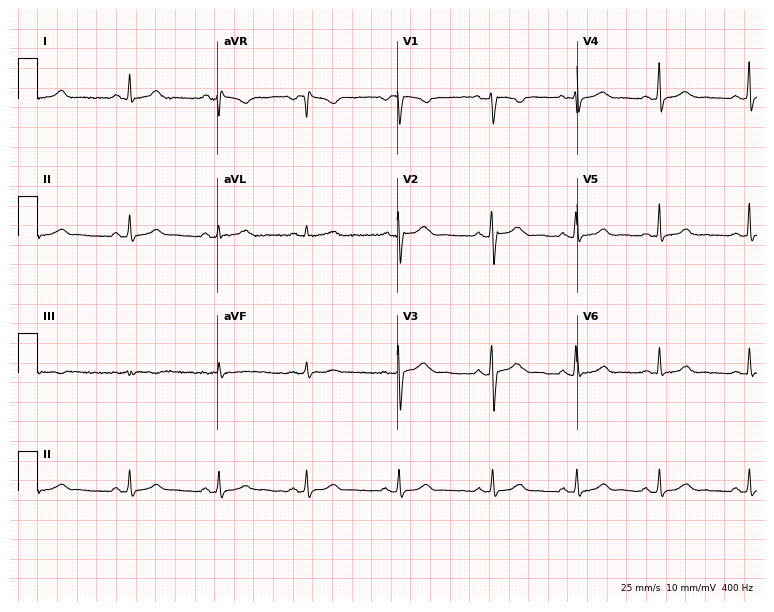
Standard 12-lead ECG recorded from a woman, 34 years old (7.3-second recording at 400 Hz). Read as a normal ECG.